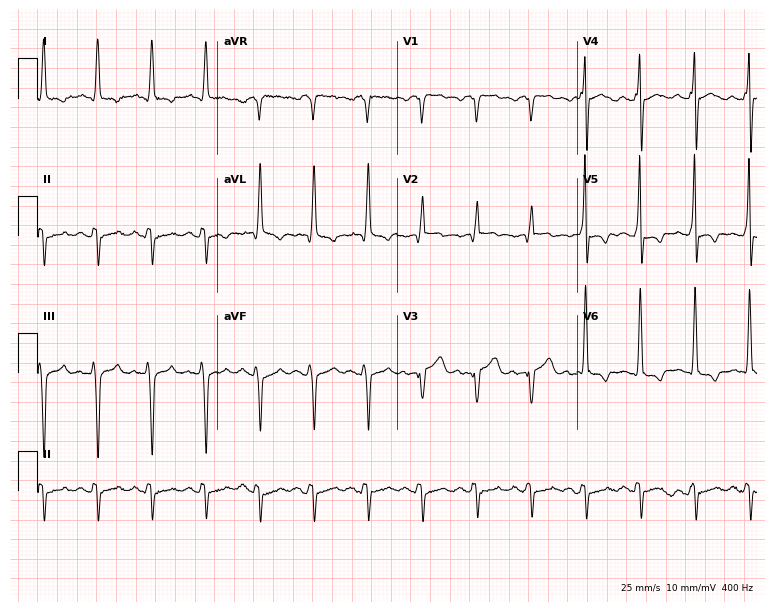
12-lead ECG from a 59-year-old man. Findings include sinus tachycardia (a sinus rate of 100 beats per minute or more).